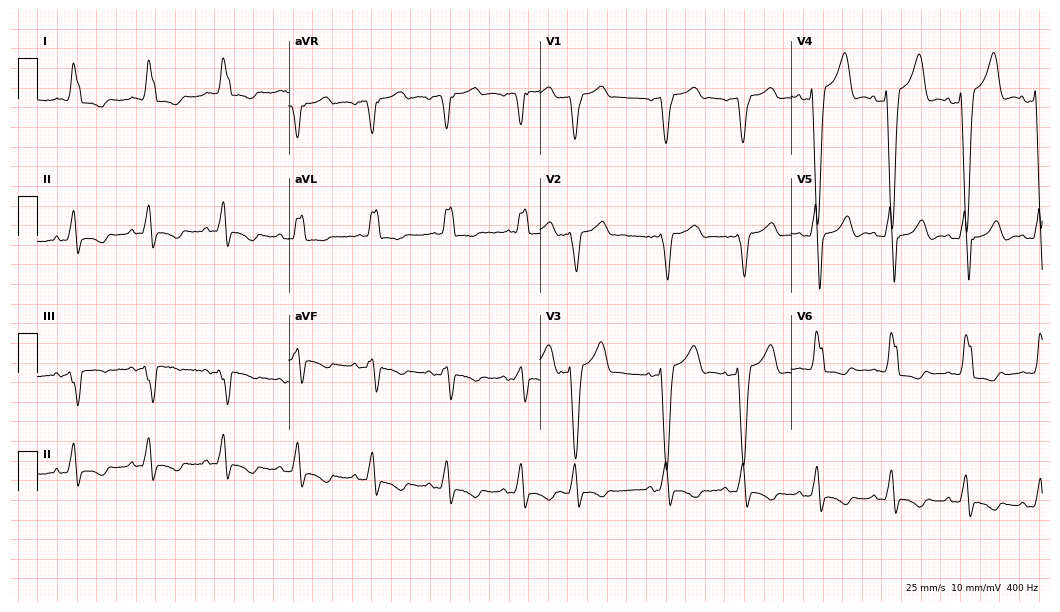
Standard 12-lead ECG recorded from a female, 69 years old (10.2-second recording at 400 Hz). The tracing shows left bundle branch block.